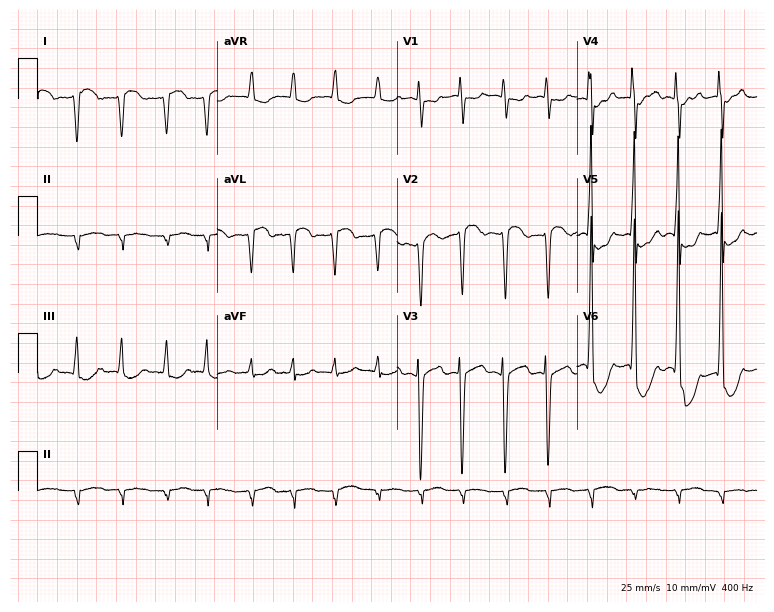
Standard 12-lead ECG recorded from a female, 74 years old. None of these six findings is recorded: first-degree AV block, right bundle branch block, left bundle branch block, sinus bradycardia, atrial fibrillation, sinus tachycardia. Only these six findings were labelled.